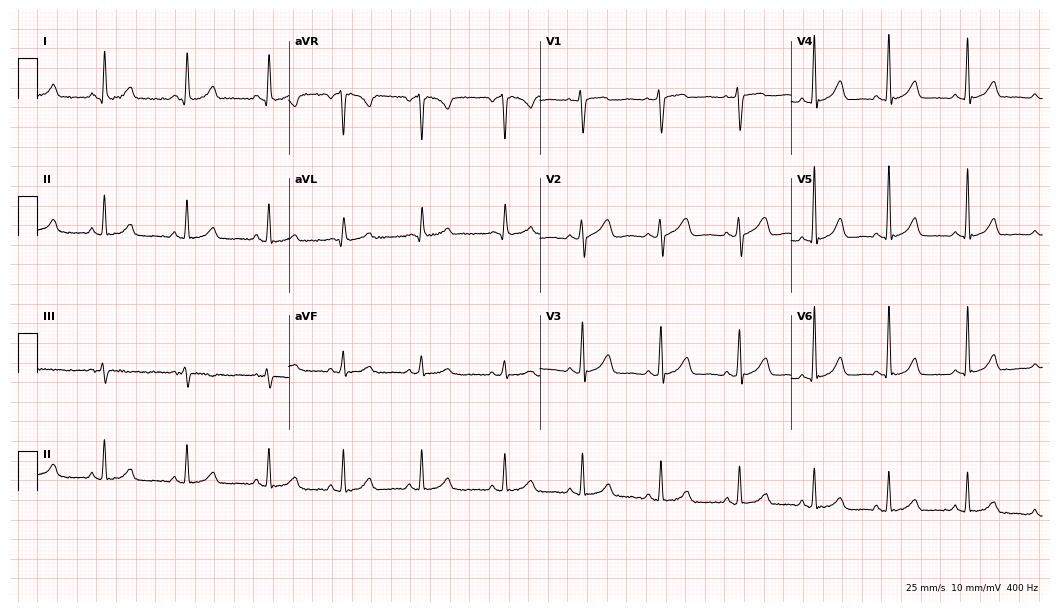
12-lead ECG from a 41-year-old female patient. No first-degree AV block, right bundle branch block, left bundle branch block, sinus bradycardia, atrial fibrillation or sinus tachycardia recorded for this tracing. Only these six findings were labelled.